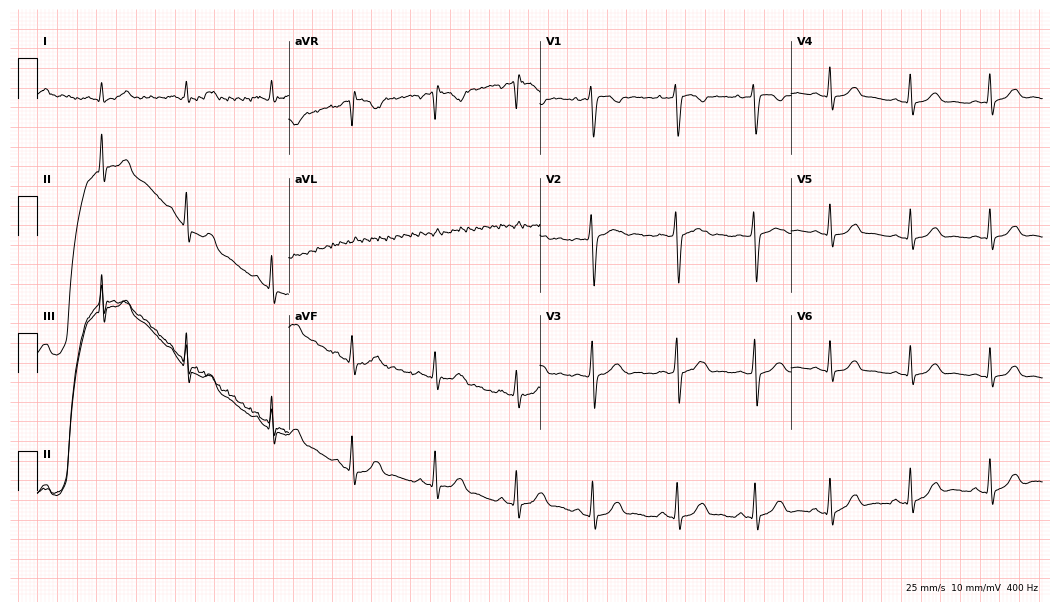
ECG (10.2-second recording at 400 Hz) — a 43-year-old female patient. Screened for six findings — first-degree AV block, right bundle branch block (RBBB), left bundle branch block (LBBB), sinus bradycardia, atrial fibrillation (AF), sinus tachycardia — none is recorded. Only these six findings were labelled.